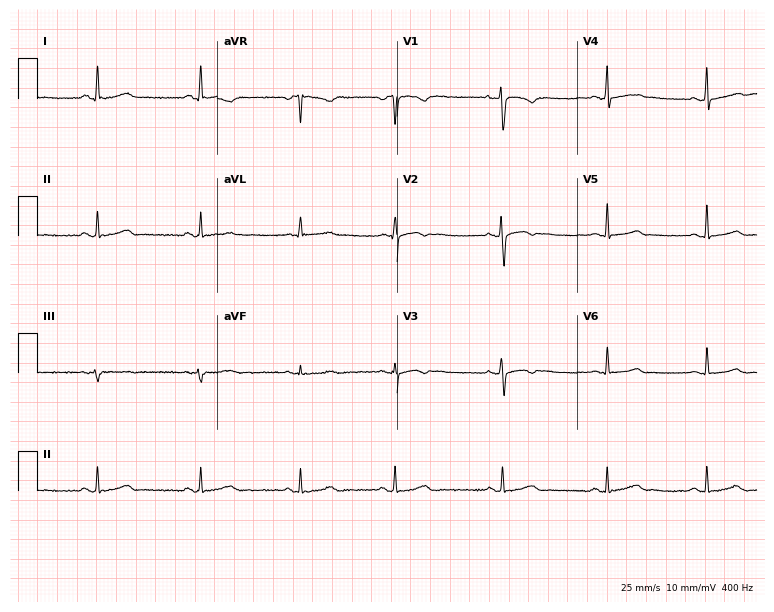
Resting 12-lead electrocardiogram. Patient: a 32-year-old female. None of these six findings is recorded: first-degree AV block, right bundle branch block (RBBB), left bundle branch block (LBBB), sinus bradycardia, atrial fibrillation (AF), sinus tachycardia. Only these six findings were labelled.